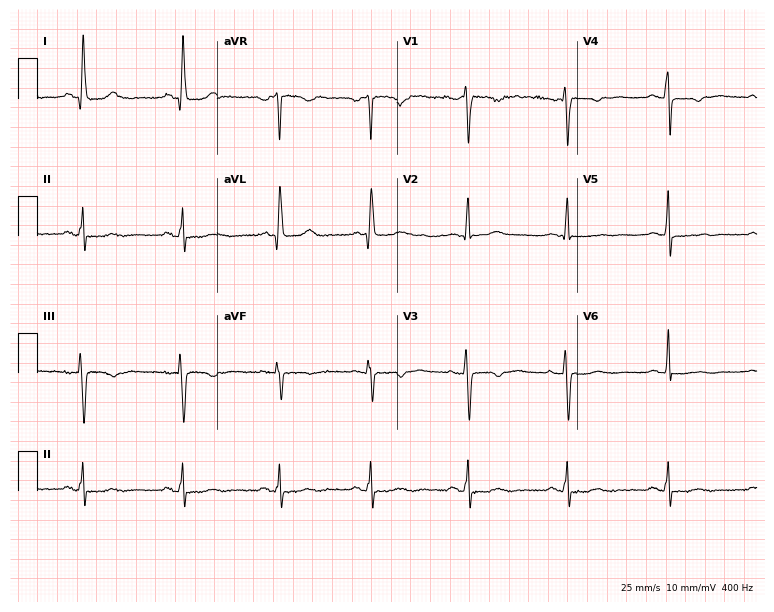
Electrocardiogram (7.3-second recording at 400 Hz), a 47-year-old woman. Of the six screened findings (first-degree AV block, right bundle branch block, left bundle branch block, sinus bradycardia, atrial fibrillation, sinus tachycardia), none is recorded.